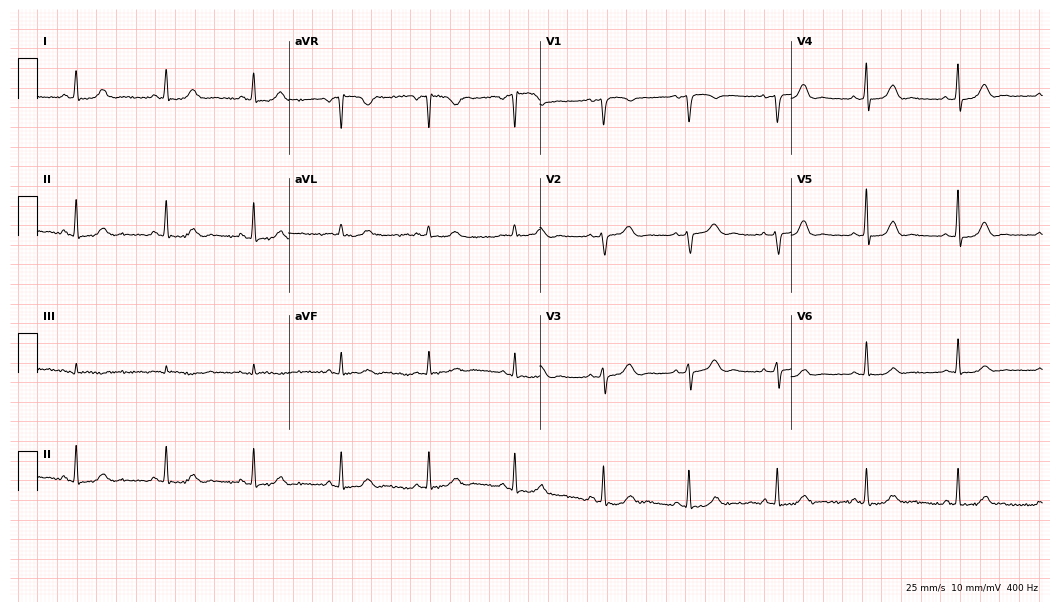
Standard 12-lead ECG recorded from a woman, 51 years old (10.2-second recording at 400 Hz). Read as a normal ECG.